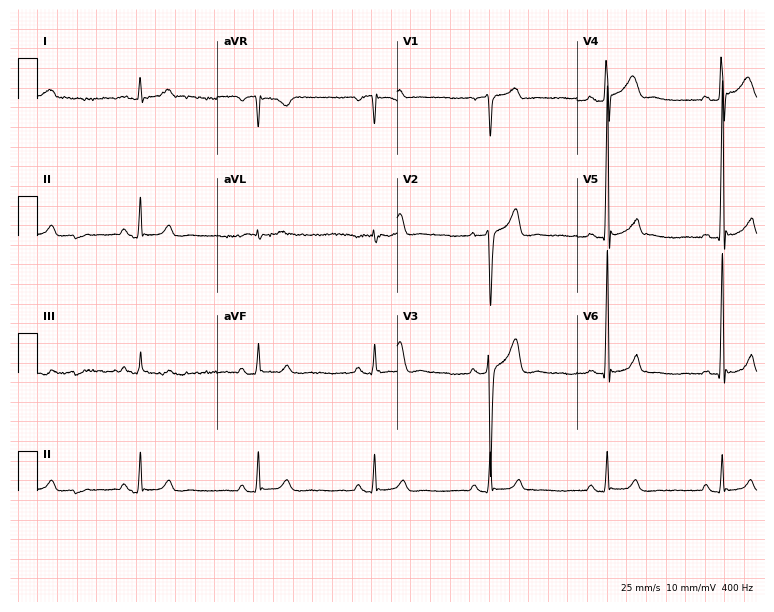
12-lead ECG from a 28-year-old man (7.3-second recording at 400 Hz). No first-degree AV block, right bundle branch block, left bundle branch block, sinus bradycardia, atrial fibrillation or sinus tachycardia recorded for this tracing.